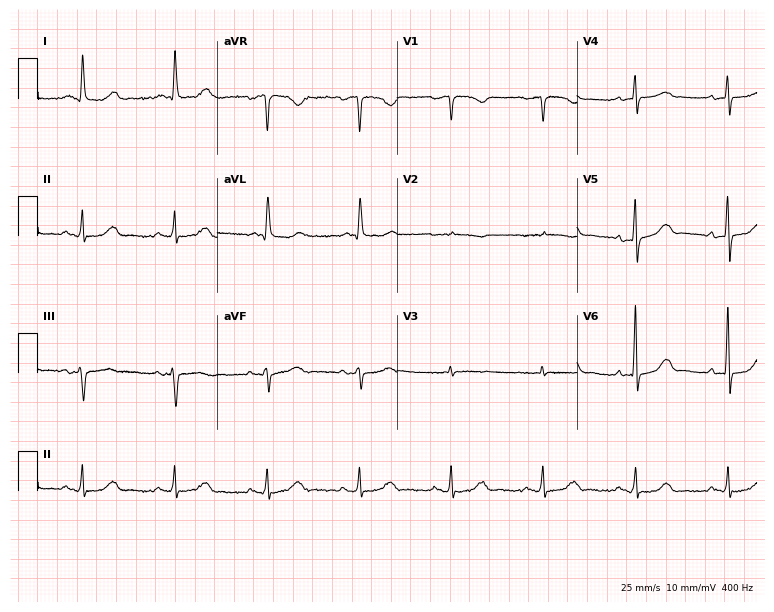
12-lead ECG from a female, 68 years old. Labelled as a normal ECG.